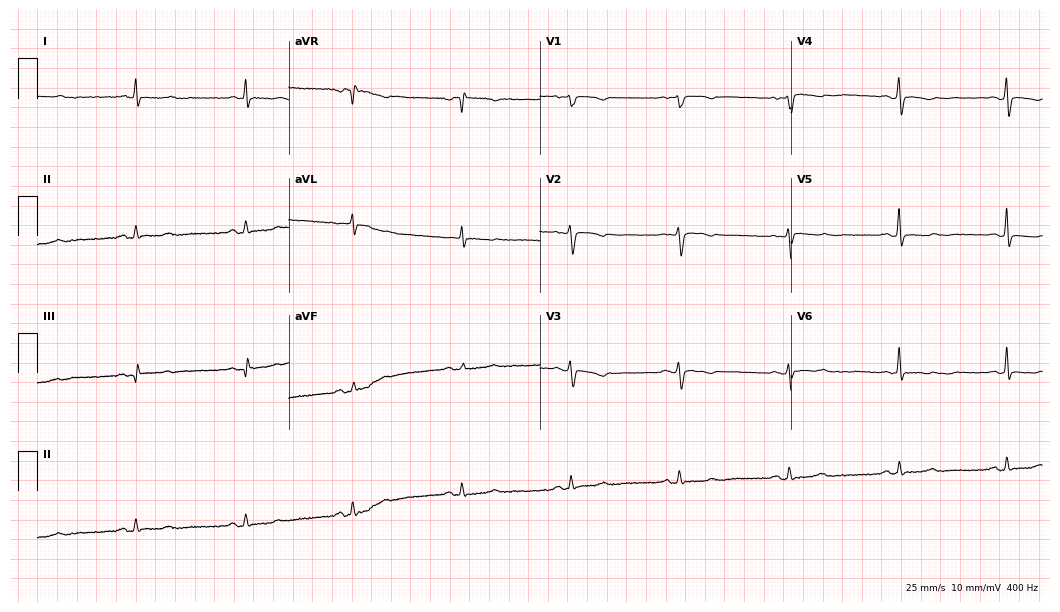
12-lead ECG from a 57-year-old woman (10.2-second recording at 400 Hz). No first-degree AV block, right bundle branch block, left bundle branch block, sinus bradycardia, atrial fibrillation or sinus tachycardia recorded for this tracing.